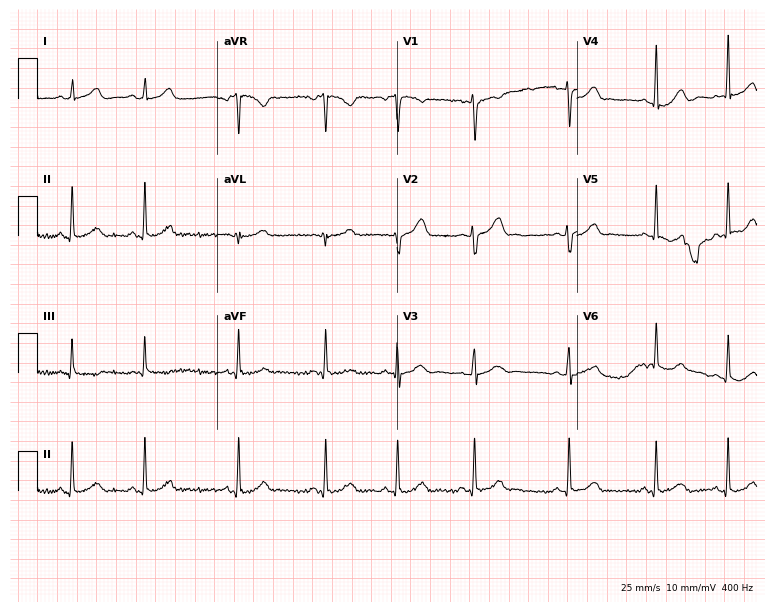
Electrocardiogram (7.3-second recording at 400 Hz), a woman, 17 years old. Overall reading on record: normal ECG.